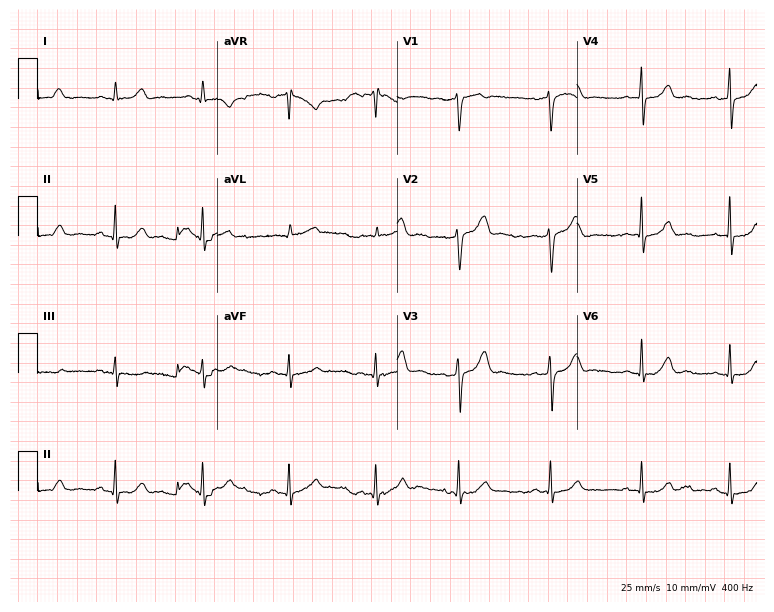
12-lead ECG from a man, 55 years old. Recorded interpretation: within normal limits.